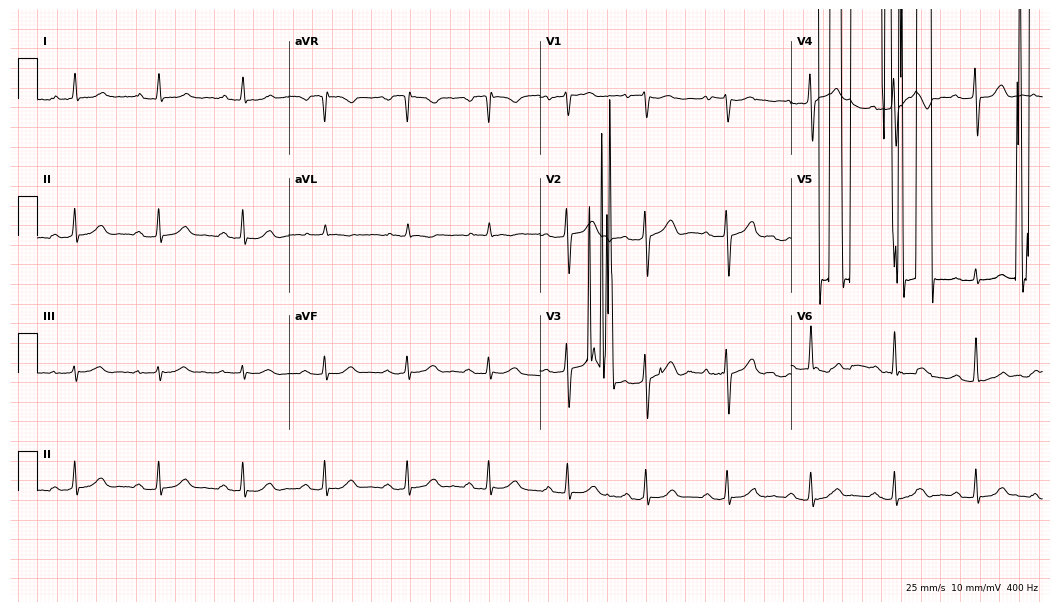
Standard 12-lead ECG recorded from a 53-year-old female patient. Read as a normal ECG.